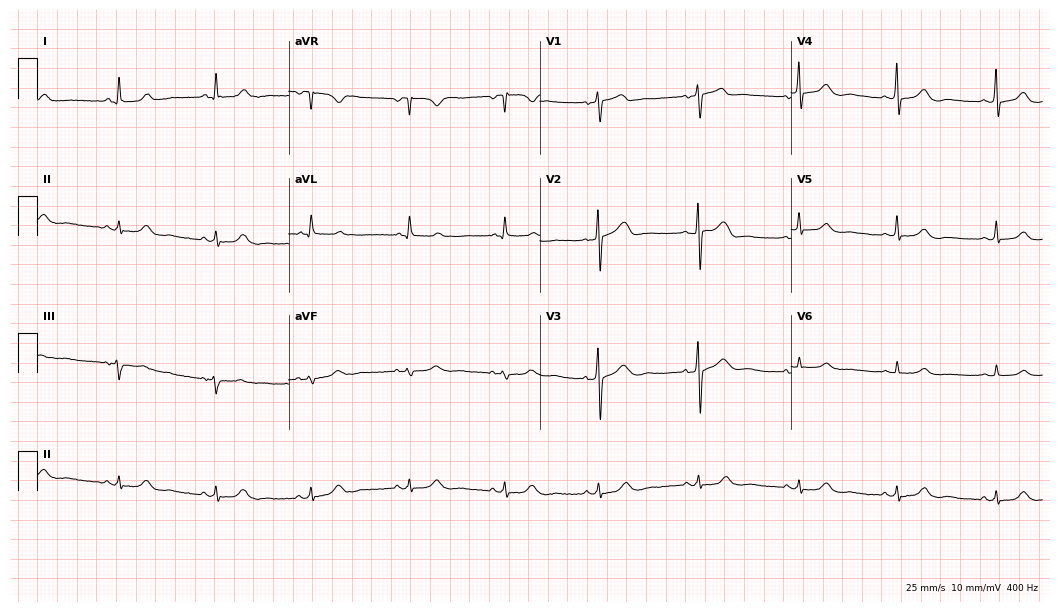
Electrocardiogram, a 73-year-old woman. Overall reading on record: normal ECG.